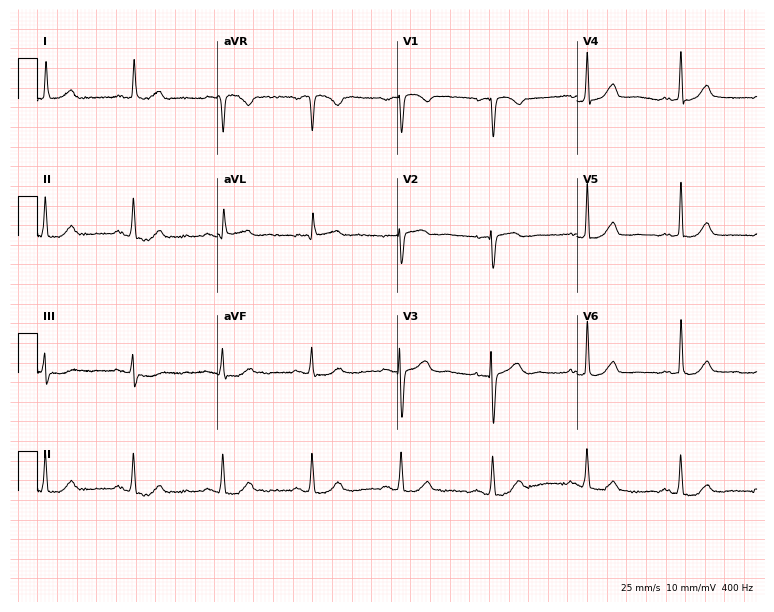
12-lead ECG from a female, 69 years old. Recorded interpretation: within normal limits.